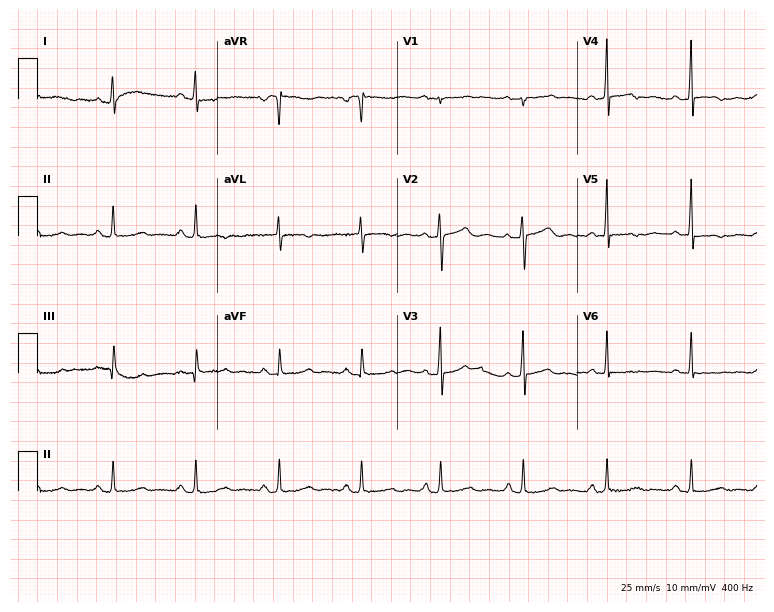
ECG (7.3-second recording at 400 Hz) — a woman, 52 years old. Screened for six findings — first-degree AV block, right bundle branch block (RBBB), left bundle branch block (LBBB), sinus bradycardia, atrial fibrillation (AF), sinus tachycardia — none is recorded. Findings outside these six are not listed.